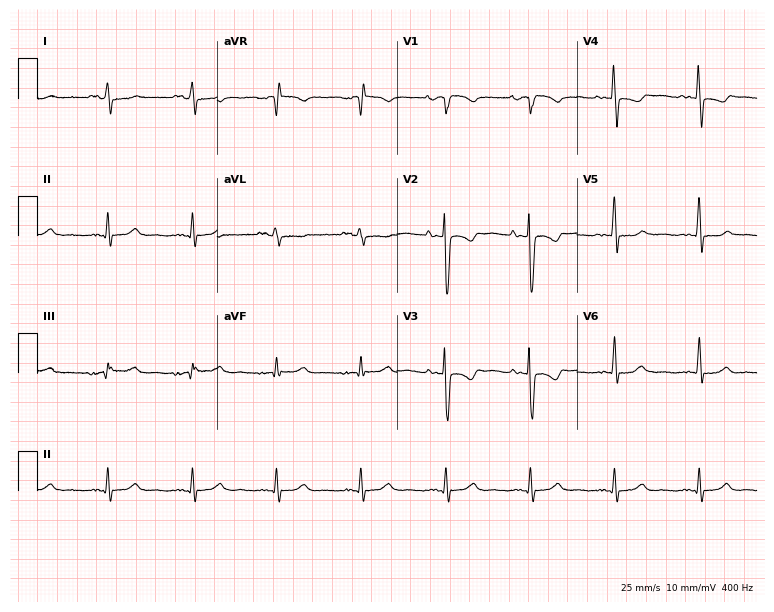
12-lead ECG from a 23-year-old female. Screened for six findings — first-degree AV block, right bundle branch block (RBBB), left bundle branch block (LBBB), sinus bradycardia, atrial fibrillation (AF), sinus tachycardia — none is recorded. Only these six findings were labelled.